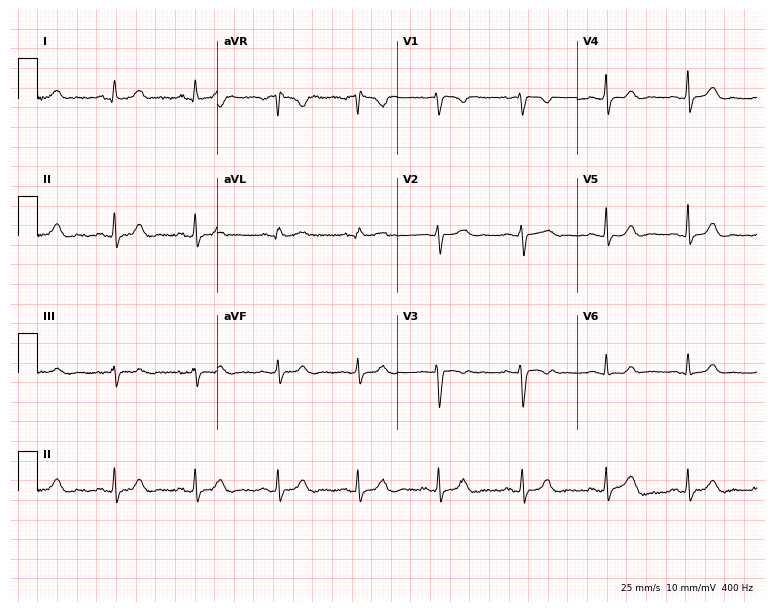
Electrocardiogram (7.3-second recording at 400 Hz), a 34-year-old woman. Overall reading on record: normal ECG.